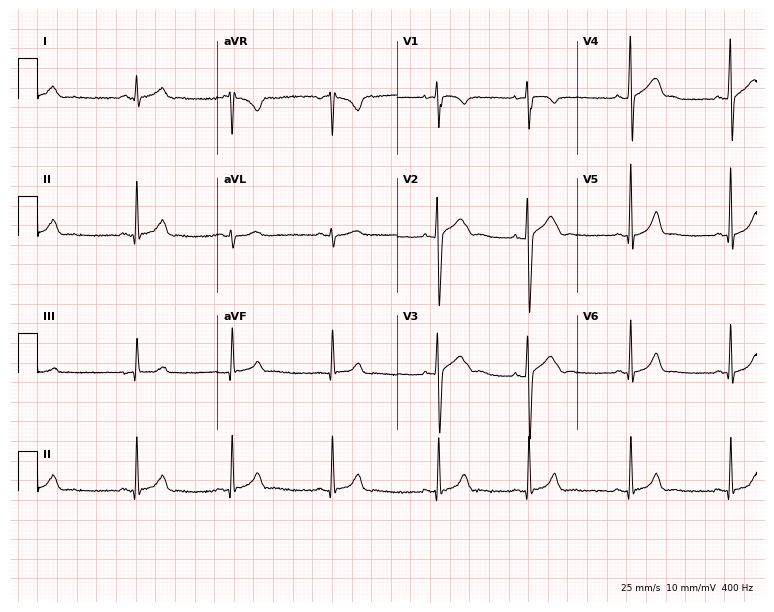
12-lead ECG from a 17-year-old man (7.3-second recording at 400 Hz). No first-degree AV block, right bundle branch block (RBBB), left bundle branch block (LBBB), sinus bradycardia, atrial fibrillation (AF) or sinus tachycardia recorded for this tracing. Findings outside these six are not listed.